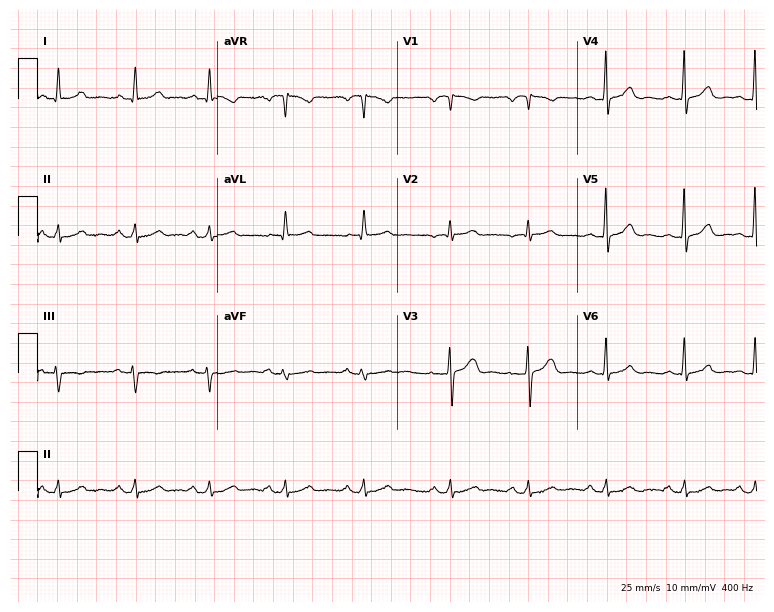
12-lead ECG from a female patient, 42 years old. Recorded interpretation: within normal limits.